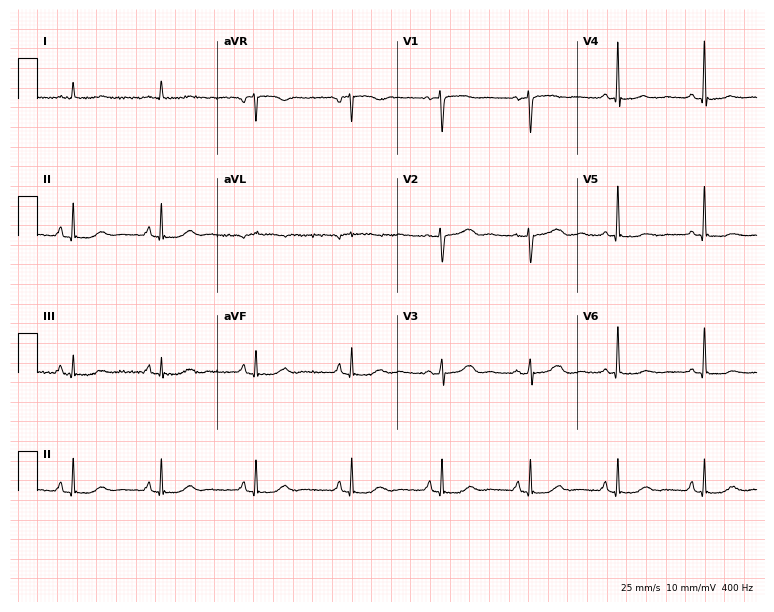
Electrocardiogram, a 72-year-old woman. Of the six screened findings (first-degree AV block, right bundle branch block, left bundle branch block, sinus bradycardia, atrial fibrillation, sinus tachycardia), none is recorded.